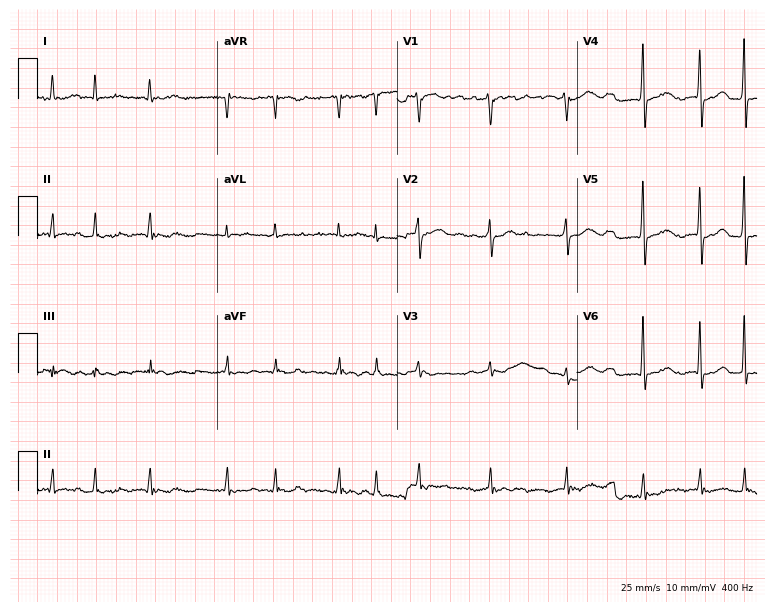
ECG (7.3-second recording at 400 Hz) — a 72-year-old male. Findings include atrial fibrillation.